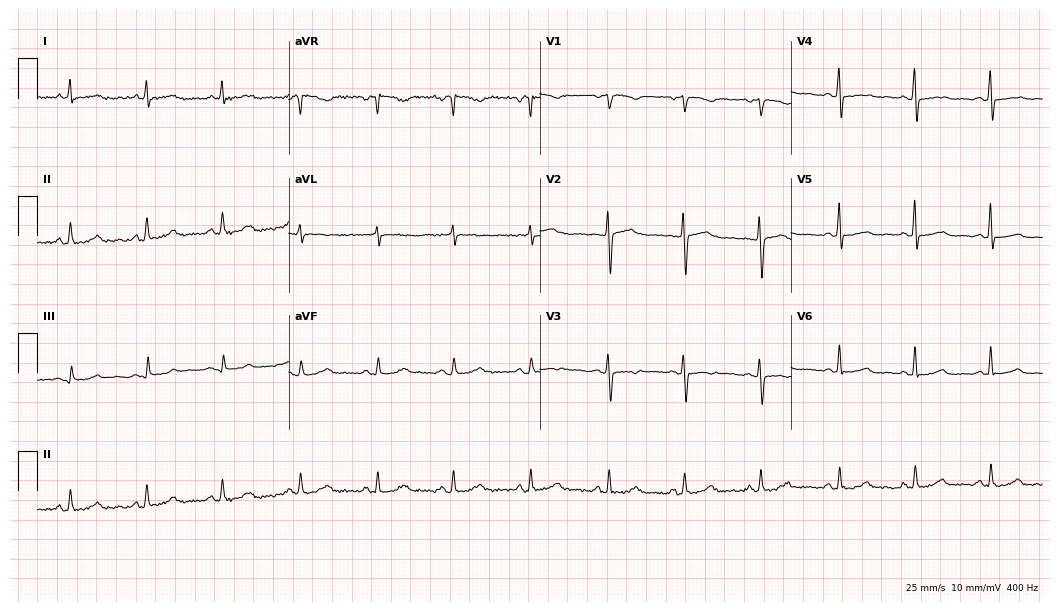
12-lead ECG from a 53-year-old female patient. No first-degree AV block, right bundle branch block (RBBB), left bundle branch block (LBBB), sinus bradycardia, atrial fibrillation (AF) or sinus tachycardia recorded for this tracing.